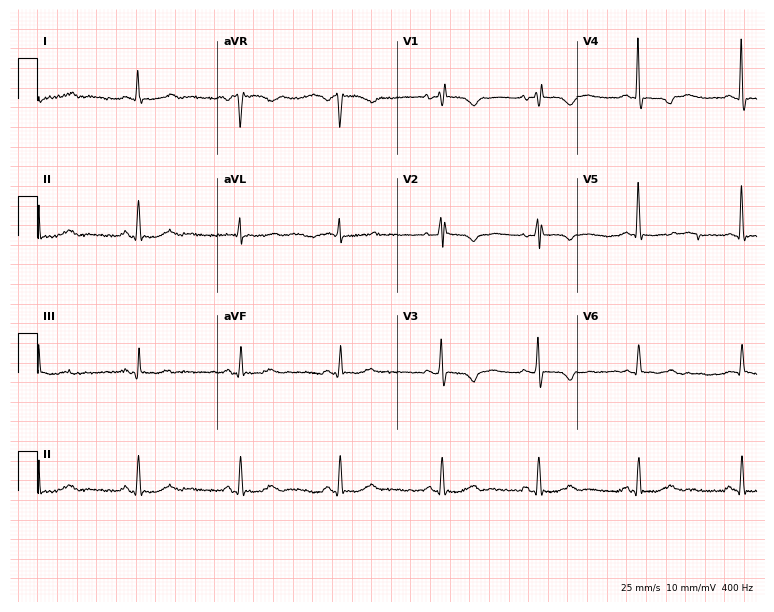
12-lead ECG (7.3-second recording at 400 Hz) from a female, 64 years old. Screened for six findings — first-degree AV block, right bundle branch block, left bundle branch block, sinus bradycardia, atrial fibrillation, sinus tachycardia — none is recorded.